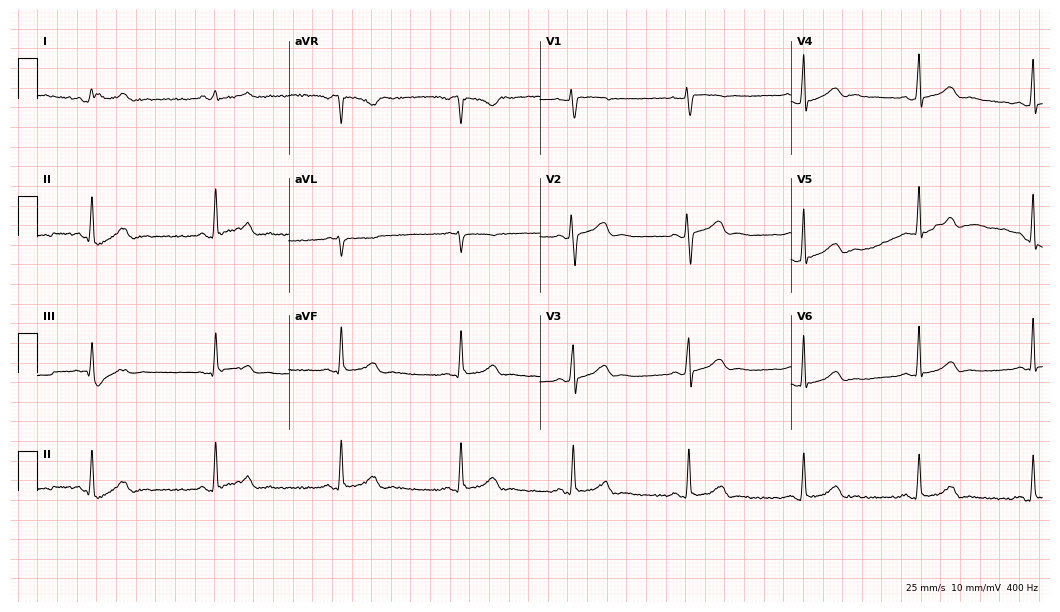
Standard 12-lead ECG recorded from a woman, 29 years old. The tracing shows sinus bradycardia (a sinus rate of 50 beats per minute or less).